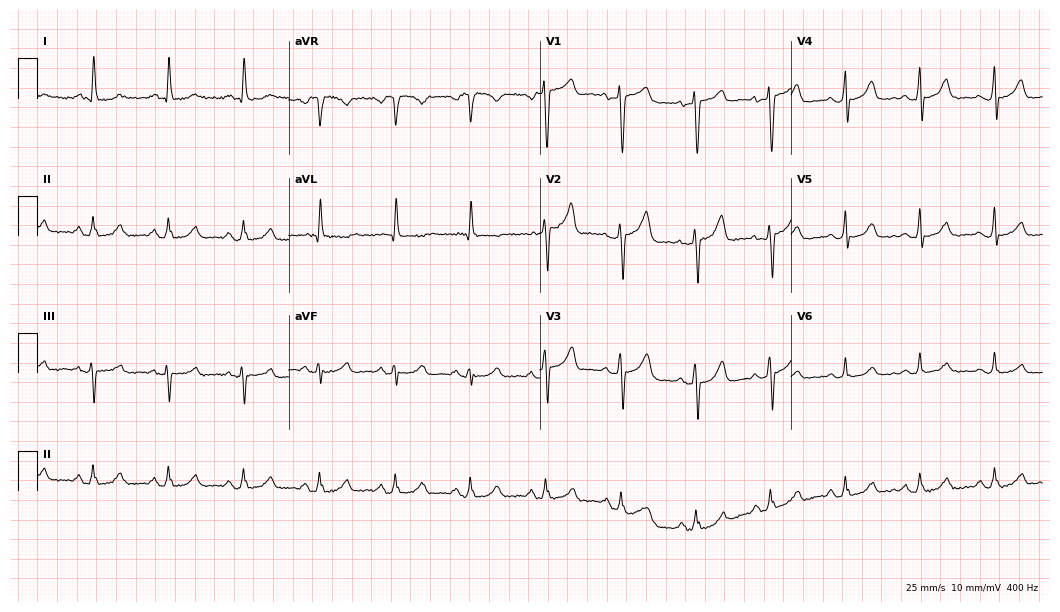
12-lead ECG (10.2-second recording at 400 Hz) from a 52-year-old female. Screened for six findings — first-degree AV block, right bundle branch block, left bundle branch block, sinus bradycardia, atrial fibrillation, sinus tachycardia — none is recorded. Other findings, if any, are not listed.